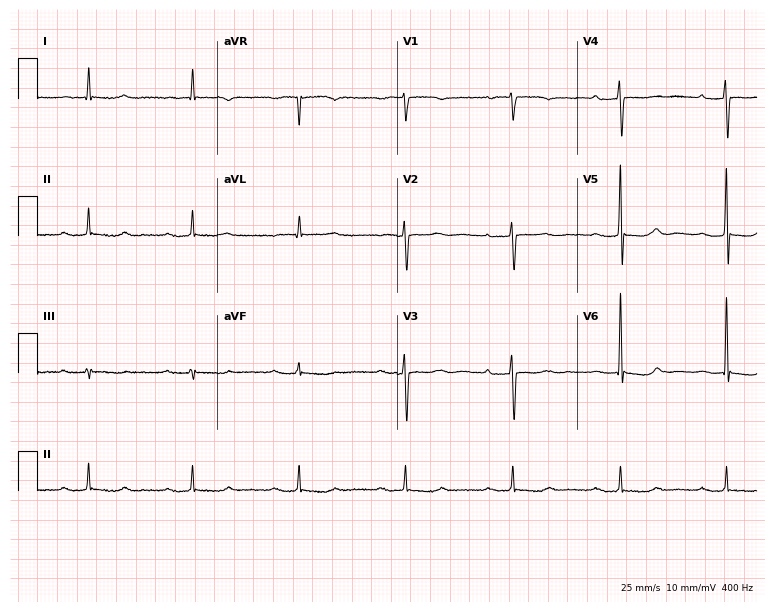
ECG (7.3-second recording at 400 Hz) — a female patient, 82 years old. Findings include first-degree AV block.